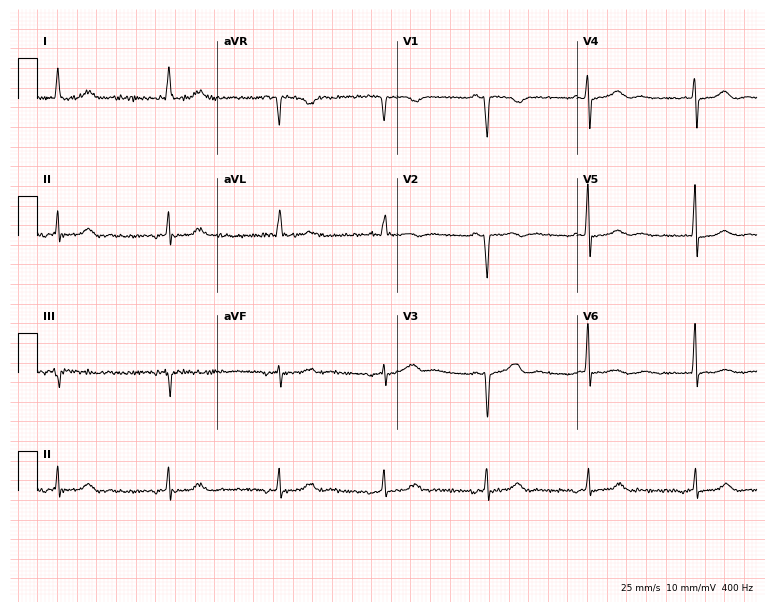
Standard 12-lead ECG recorded from a woman, 79 years old (7.3-second recording at 400 Hz). None of these six findings is recorded: first-degree AV block, right bundle branch block, left bundle branch block, sinus bradycardia, atrial fibrillation, sinus tachycardia.